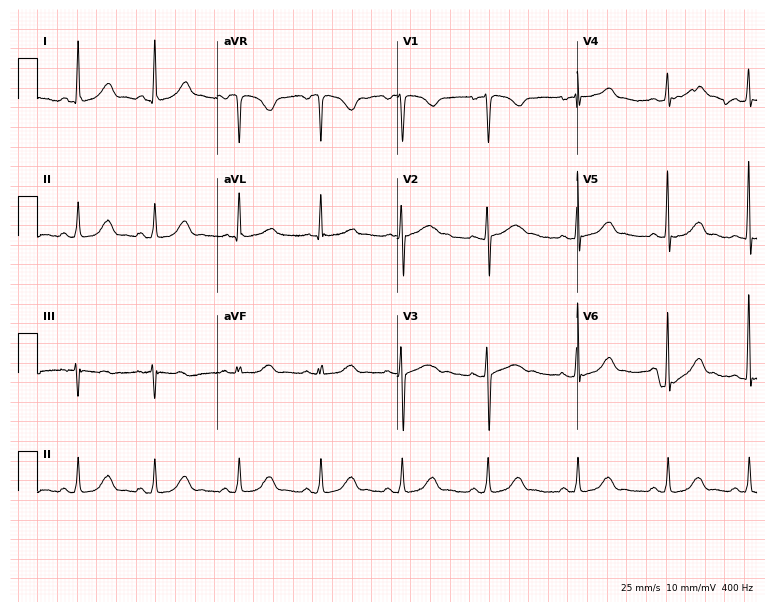
Standard 12-lead ECG recorded from a 44-year-old female patient (7.3-second recording at 400 Hz). Read as a normal ECG.